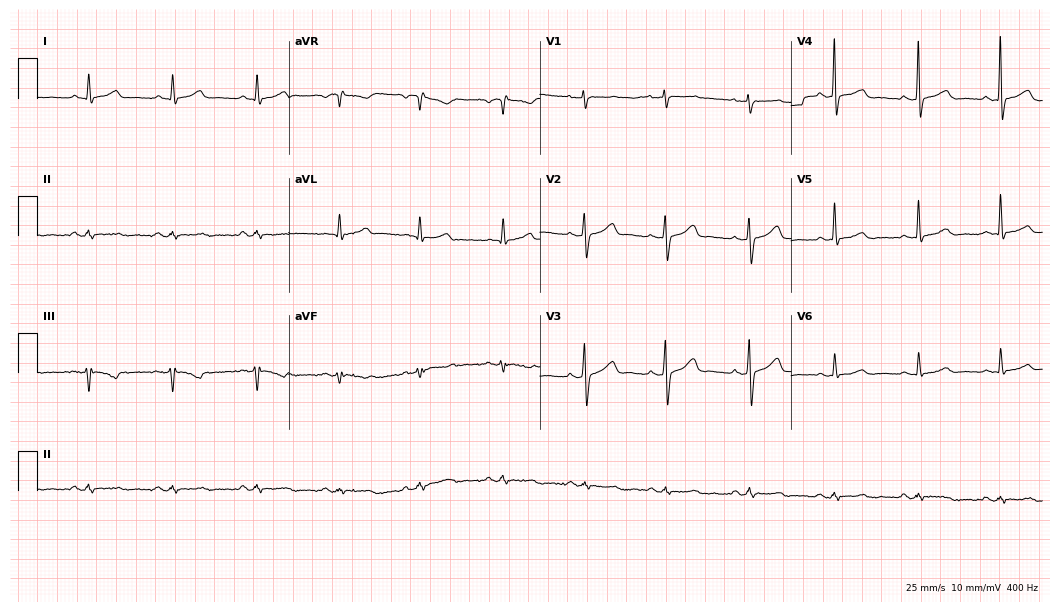
Resting 12-lead electrocardiogram (10.2-second recording at 400 Hz). Patient: a 47-year-old female. Read as a normal ECG.